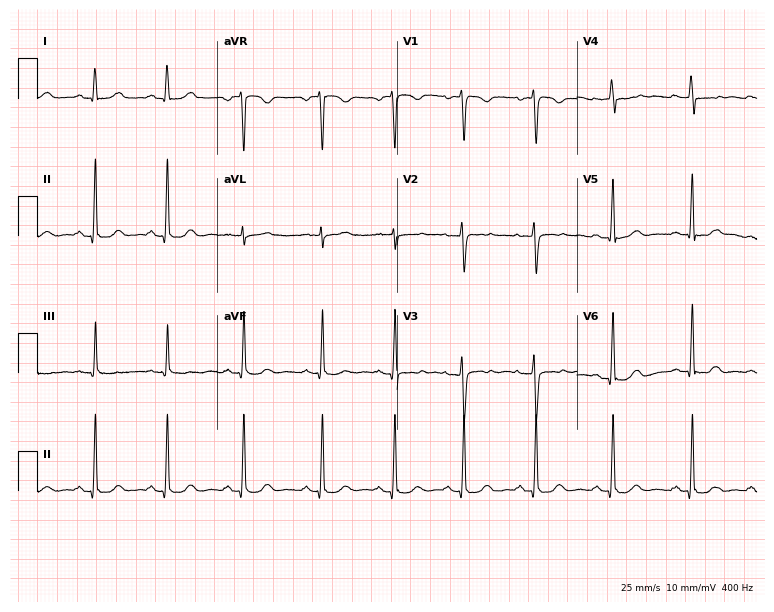
Standard 12-lead ECG recorded from a female patient, 37 years old (7.3-second recording at 400 Hz). Read as a normal ECG.